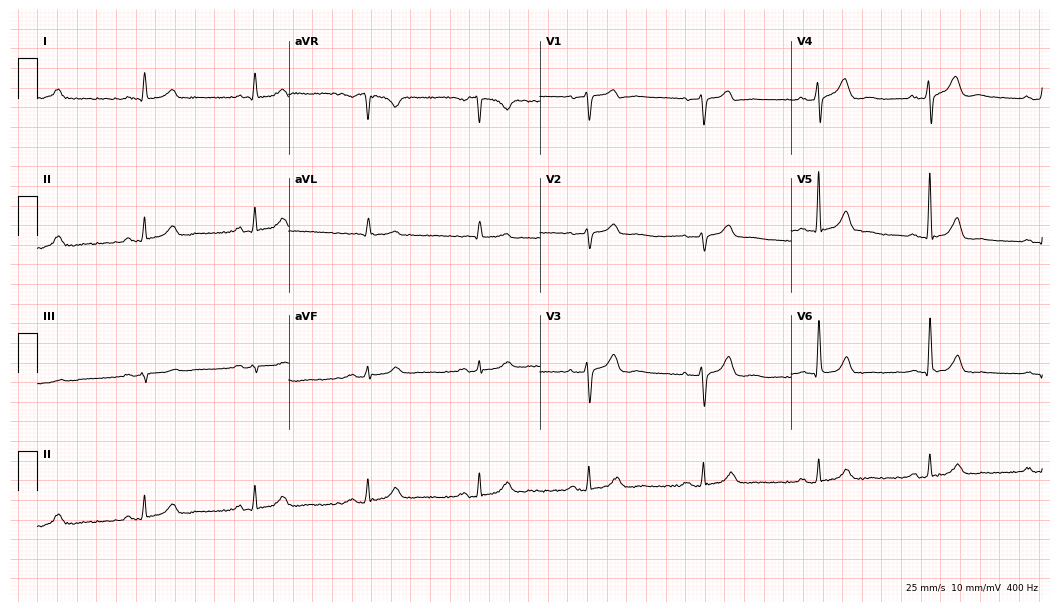
Electrocardiogram, a man, 53 years old. Overall reading on record: normal ECG.